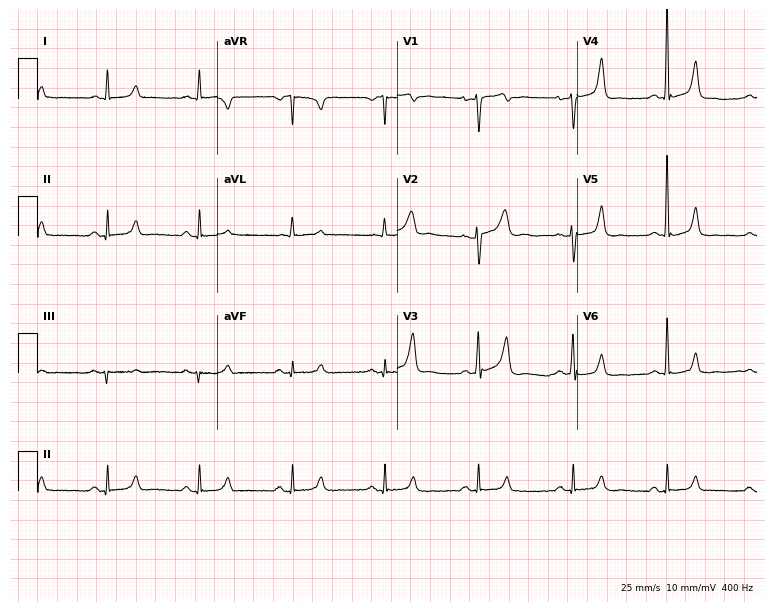
12-lead ECG (7.3-second recording at 400 Hz) from a 35-year-old male patient. Labelled as a normal ECG.